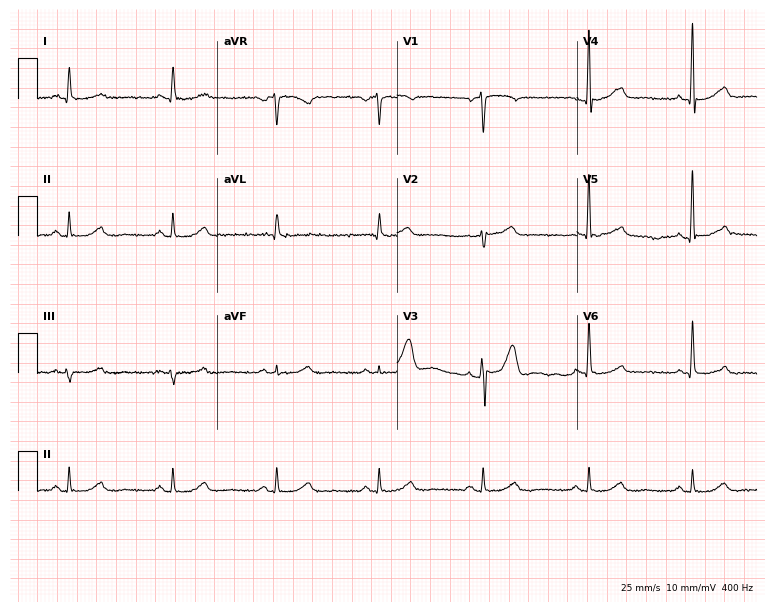
ECG (7.3-second recording at 400 Hz) — a male patient, 66 years old. Screened for six findings — first-degree AV block, right bundle branch block, left bundle branch block, sinus bradycardia, atrial fibrillation, sinus tachycardia — none is recorded. Other findings, if any, are not listed.